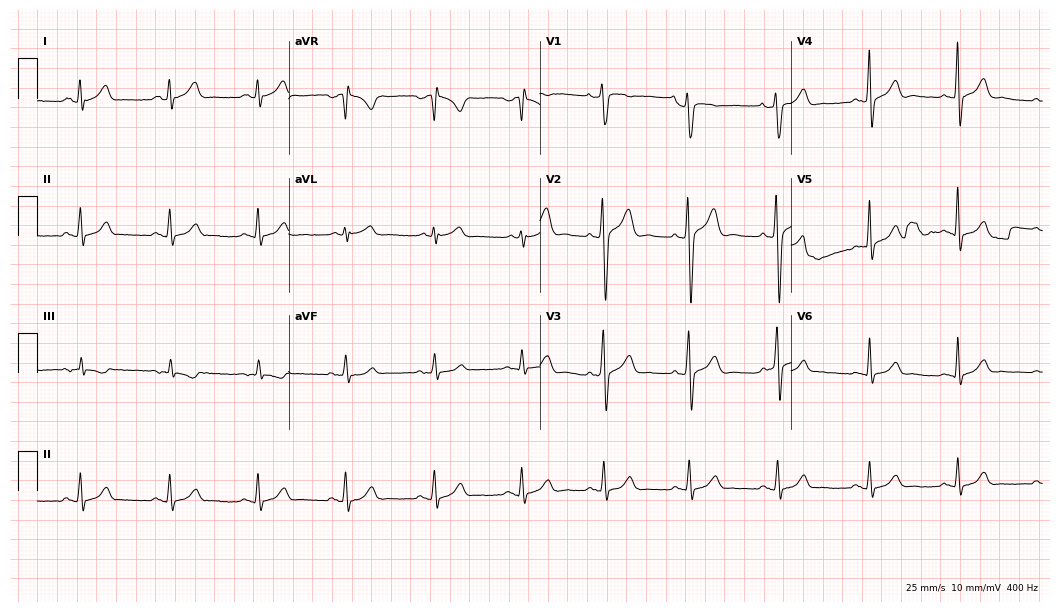
Electrocardiogram, a male patient, 29 years old. Overall reading on record: normal ECG.